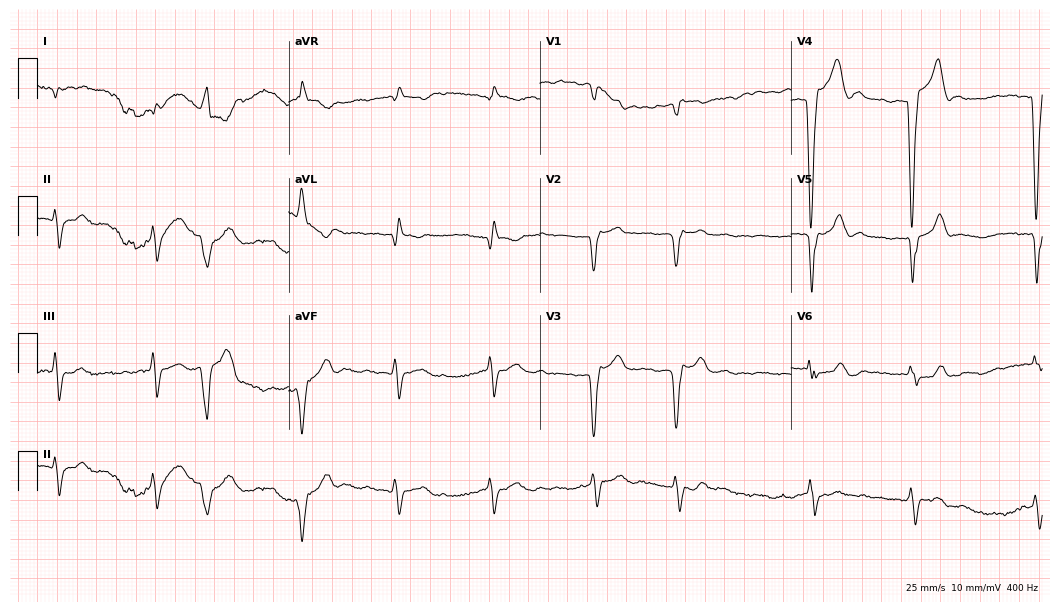
Resting 12-lead electrocardiogram (10.2-second recording at 400 Hz). Patient: a male, 85 years old. None of these six findings is recorded: first-degree AV block, right bundle branch block (RBBB), left bundle branch block (LBBB), sinus bradycardia, atrial fibrillation (AF), sinus tachycardia. Only these six findings were labelled.